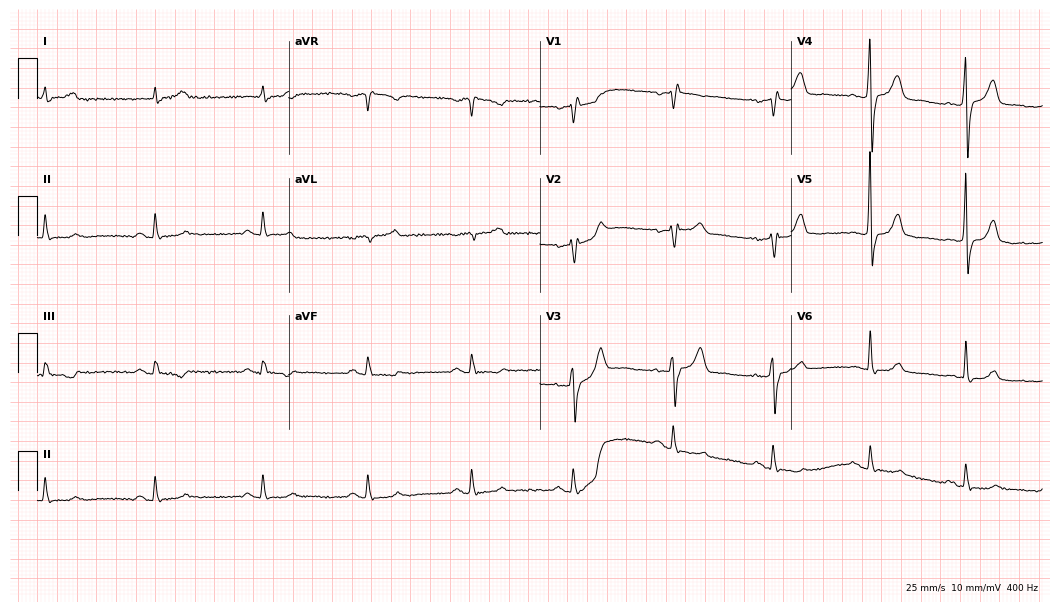
Resting 12-lead electrocardiogram (10.2-second recording at 400 Hz). Patient: a male, 70 years old. None of these six findings is recorded: first-degree AV block, right bundle branch block, left bundle branch block, sinus bradycardia, atrial fibrillation, sinus tachycardia. Only these six findings were labelled.